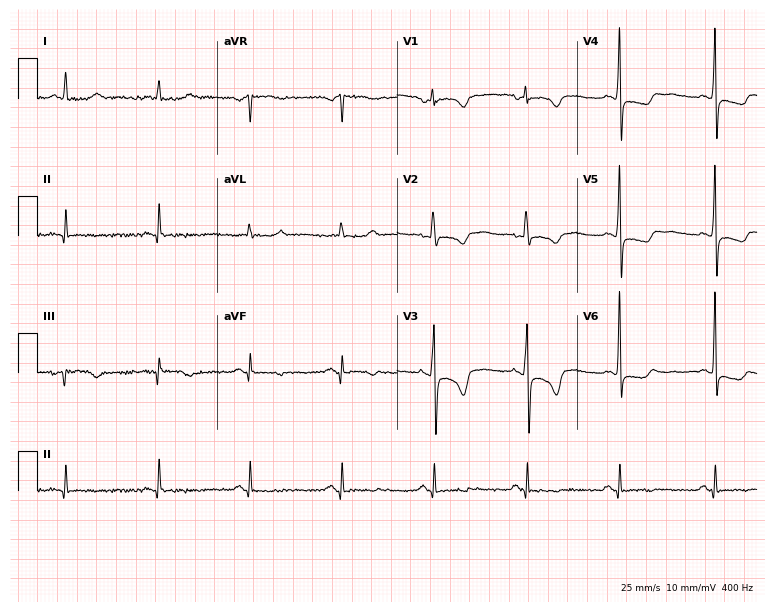
12-lead ECG from a woman, 66 years old. No first-degree AV block, right bundle branch block, left bundle branch block, sinus bradycardia, atrial fibrillation or sinus tachycardia recorded for this tracing. Findings outside these six are not listed.